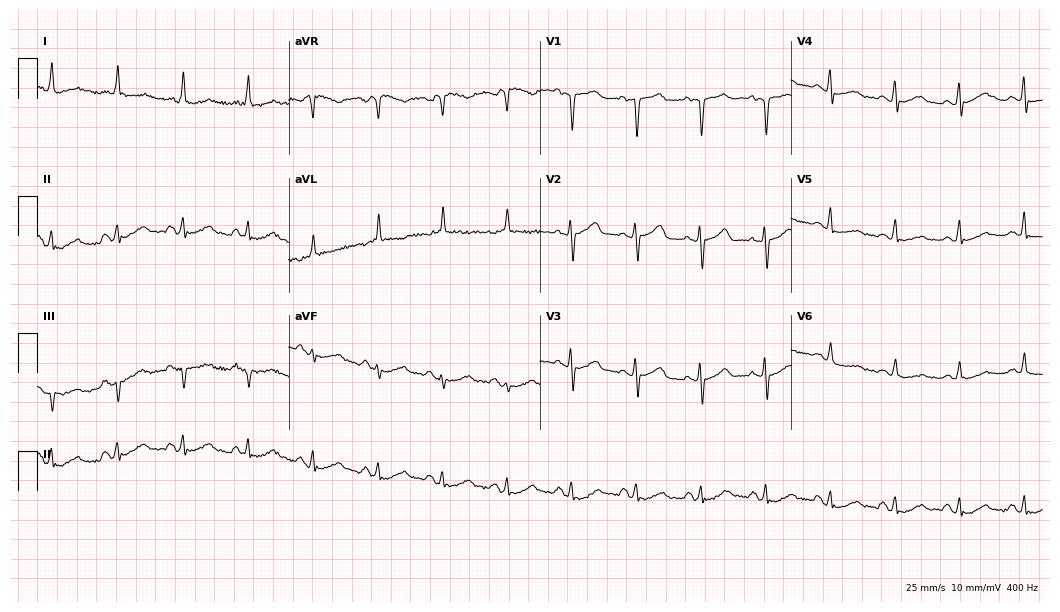
Resting 12-lead electrocardiogram (10.2-second recording at 400 Hz). Patient: a 65-year-old woman. Read as a normal ECG.